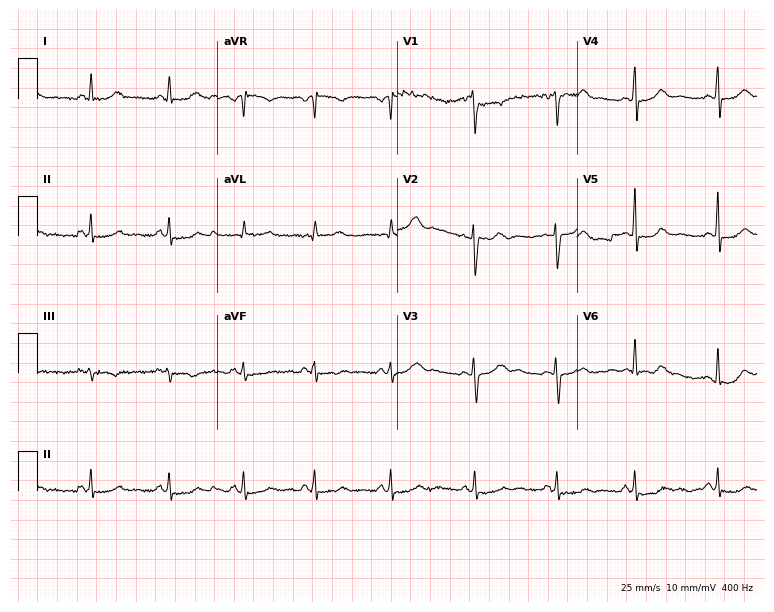
Resting 12-lead electrocardiogram (7.3-second recording at 400 Hz). Patient: a 31-year-old female. None of these six findings is recorded: first-degree AV block, right bundle branch block (RBBB), left bundle branch block (LBBB), sinus bradycardia, atrial fibrillation (AF), sinus tachycardia. Findings outside these six are not listed.